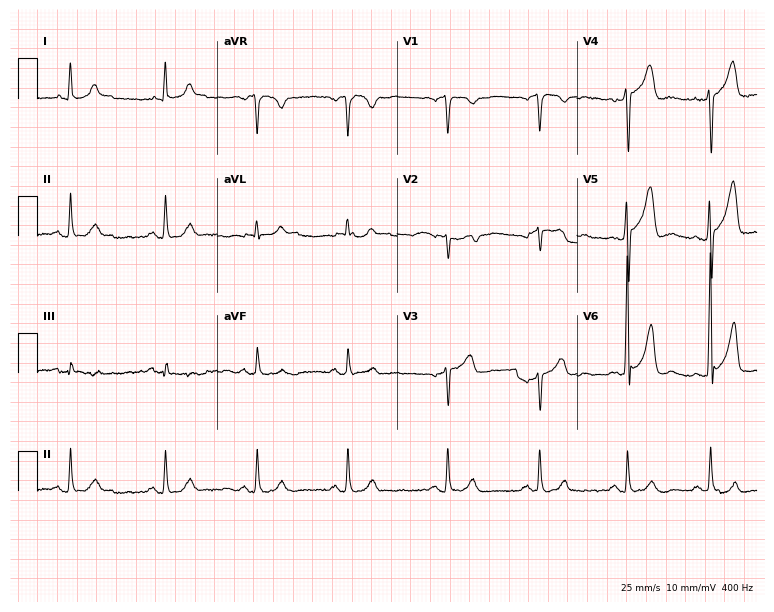
ECG (7.3-second recording at 400 Hz) — a man, 56 years old. Labelled as a normal ECG.